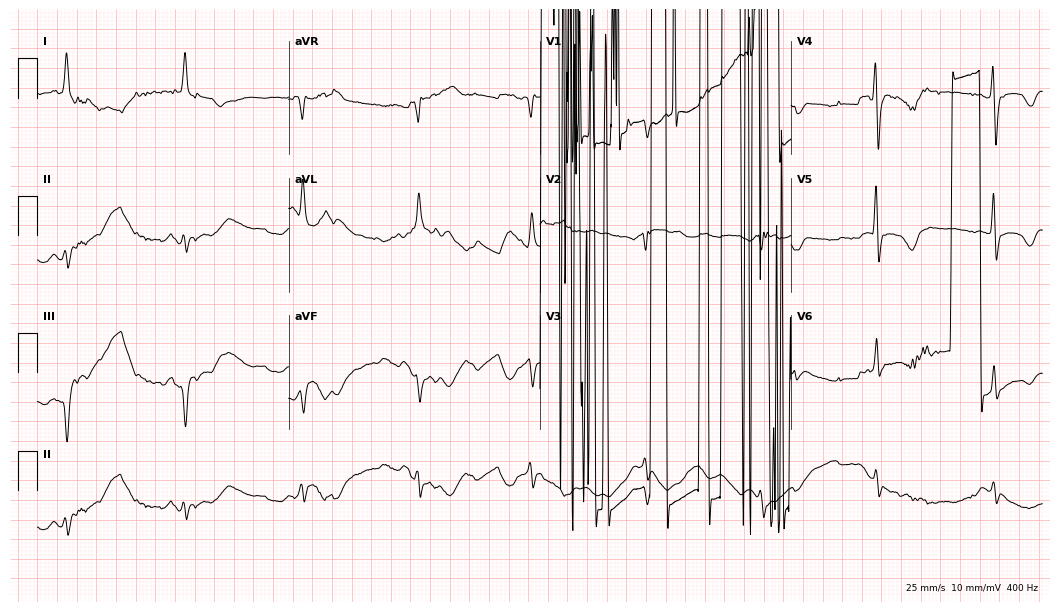
Resting 12-lead electrocardiogram (10.2-second recording at 400 Hz). Patient: a 72-year-old male. None of these six findings is recorded: first-degree AV block, right bundle branch block, left bundle branch block, sinus bradycardia, atrial fibrillation, sinus tachycardia.